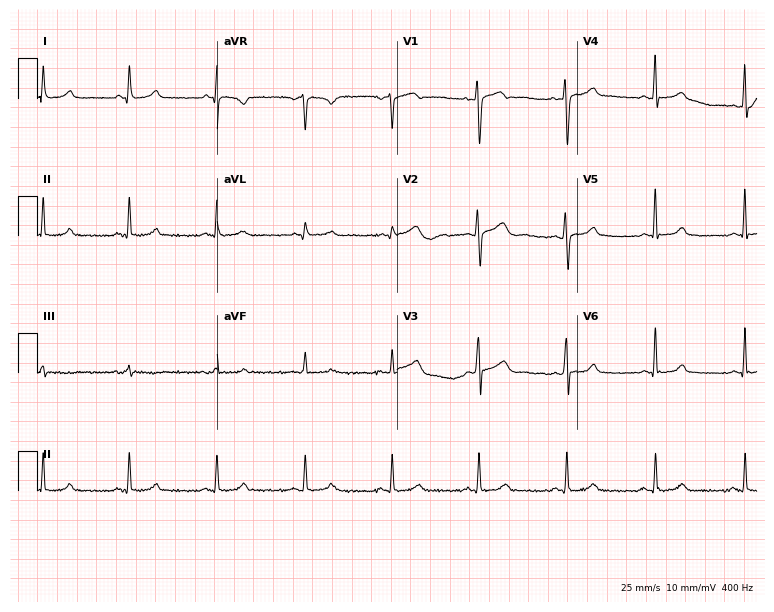
12-lead ECG from a female patient, 30 years old. No first-degree AV block, right bundle branch block, left bundle branch block, sinus bradycardia, atrial fibrillation or sinus tachycardia recorded for this tracing. Other findings, if any, are not listed.